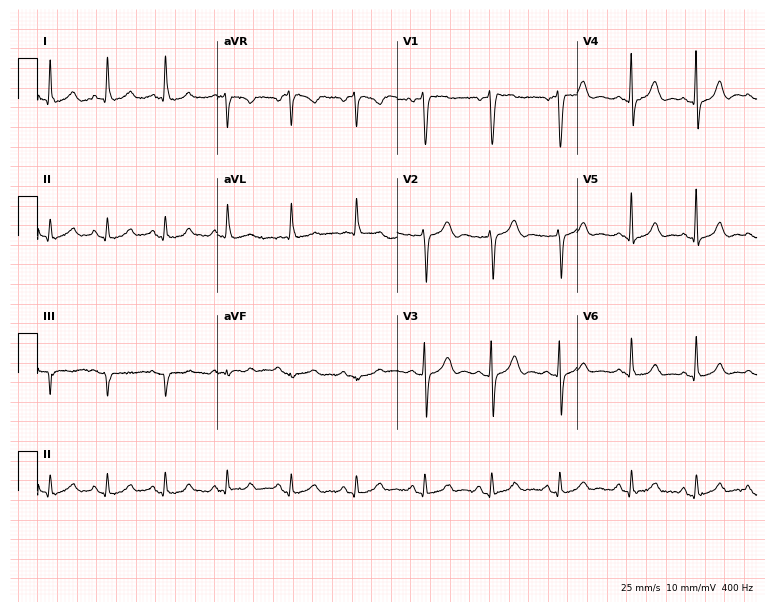
ECG (7.3-second recording at 400 Hz) — a 59-year-old woman. Screened for six findings — first-degree AV block, right bundle branch block, left bundle branch block, sinus bradycardia, atrial fibrillation, sinus tachycardia — none is recorded.